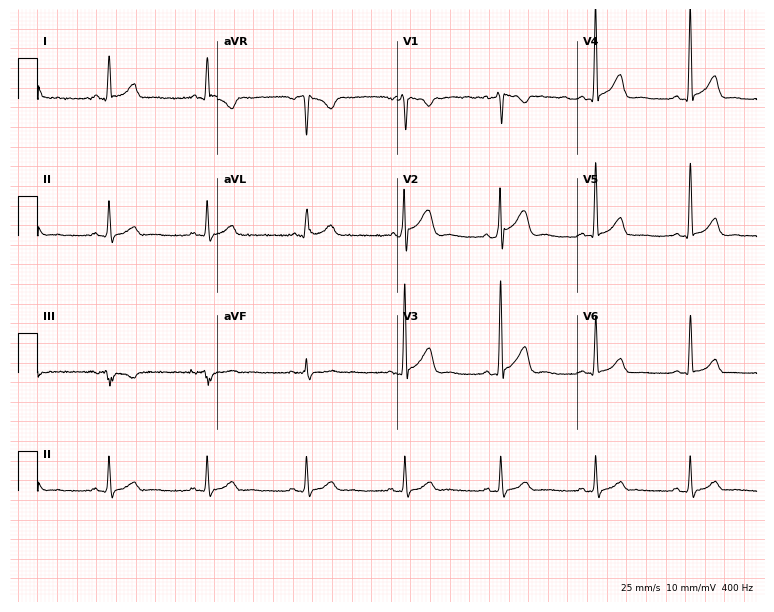
12-lead ECG from a man, 50 years old. No first-degree AV block, right bundle branch block, left bundle branch block, sinus bradycardia, atrial fibrillation or sinus tachycardia recorded for this tracing.